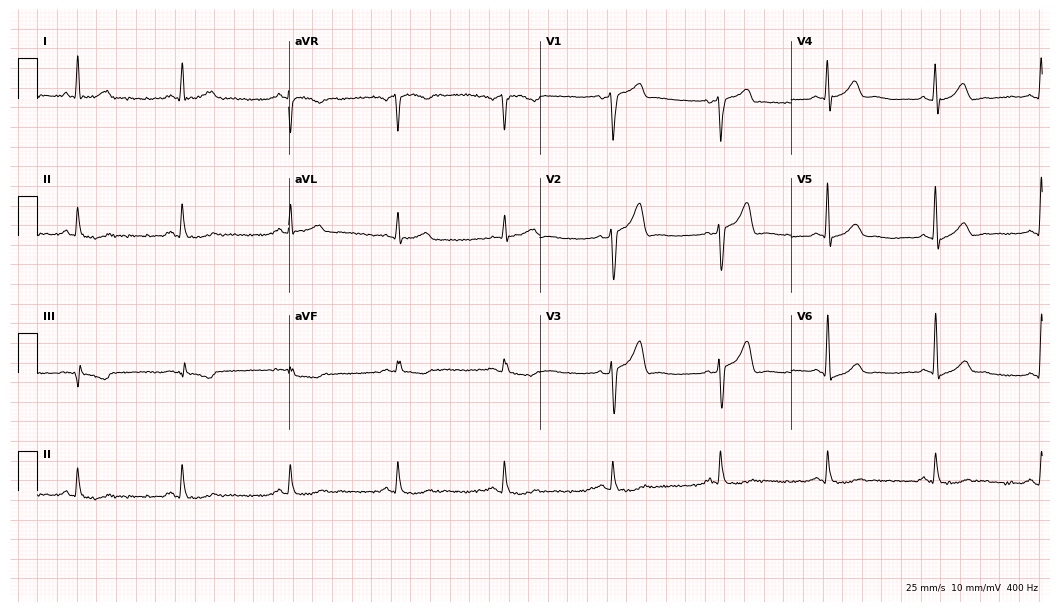
Electrocardiogram (10.2-second recording at 400 Hz), a 64-year-old man. Of the six screened findings (first-degree AV block, right bundle branch block, left bundle branch block, sinus bradycardia, atrial fibrillation, sinus tachycardia), none is recorded. Other findings, if any, are not listed.